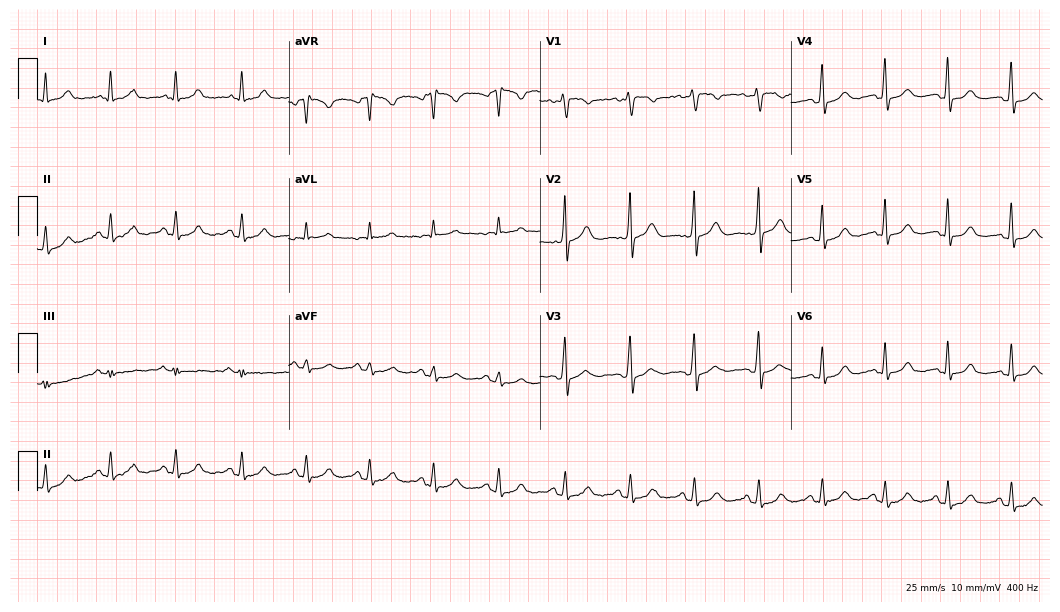
12-lead ECG from a female patient, 41 years old. Labelled as a normal ECG.